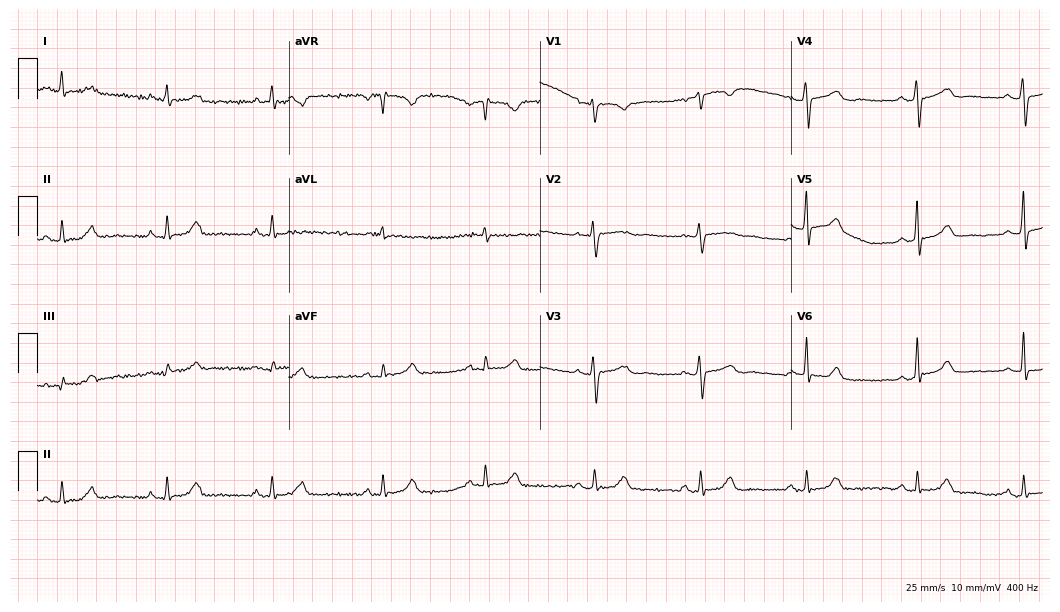
12-lead ECG from a 45-year-old female patient. Labelled as a normal ECG.